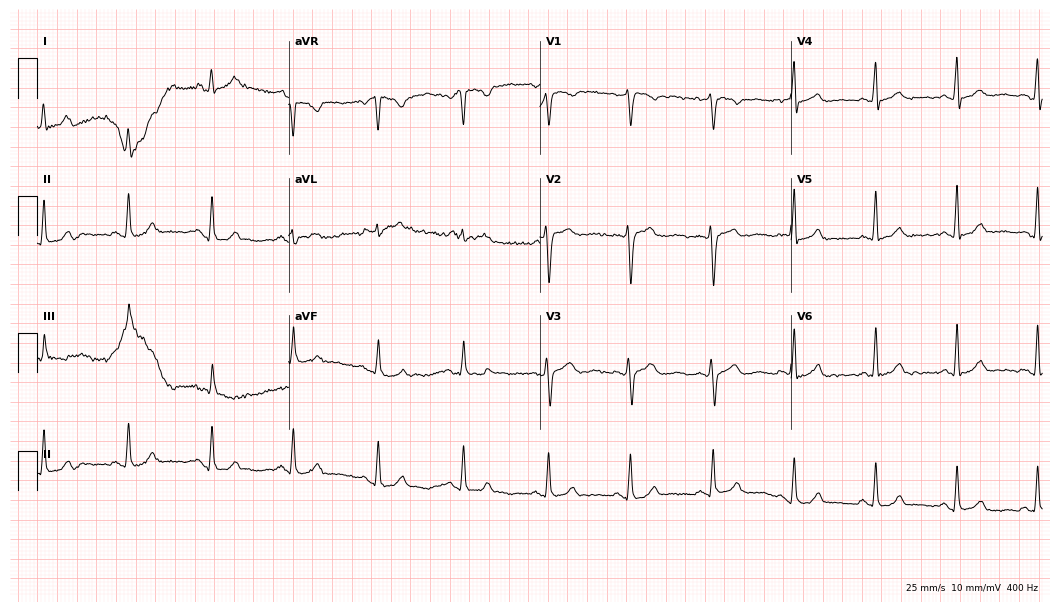
Standard 12-lead ECG recorded from a 39-year-old female (10.2-second recording at 400 Hz). None of these six findings is recorded: first-degree AV block, right bundle branch block (RBBB), left bundle branch block (LBBB), sinus bradycardia, atrial fibrillation (AF), sinus tachycardia.